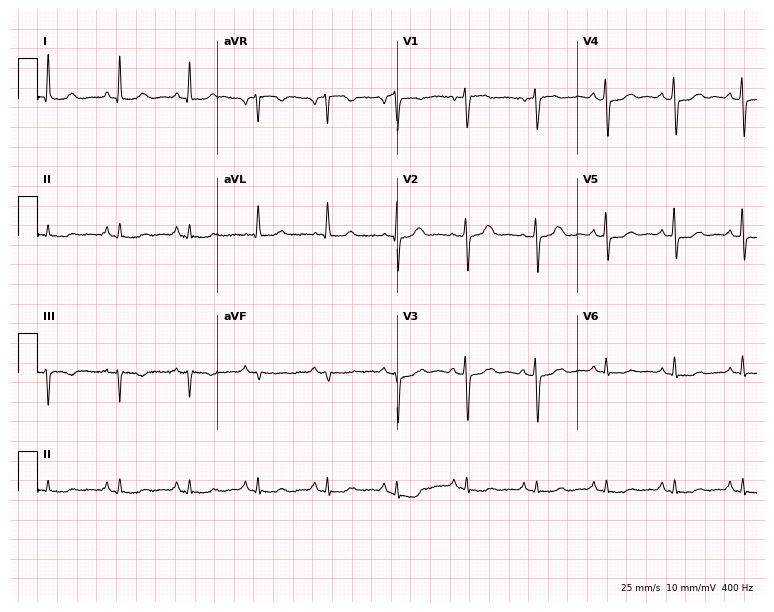
12-lead ECG (7.3-second recording at 400 Hz) from a woman, 78 years old. Labelled as a normal ECG.